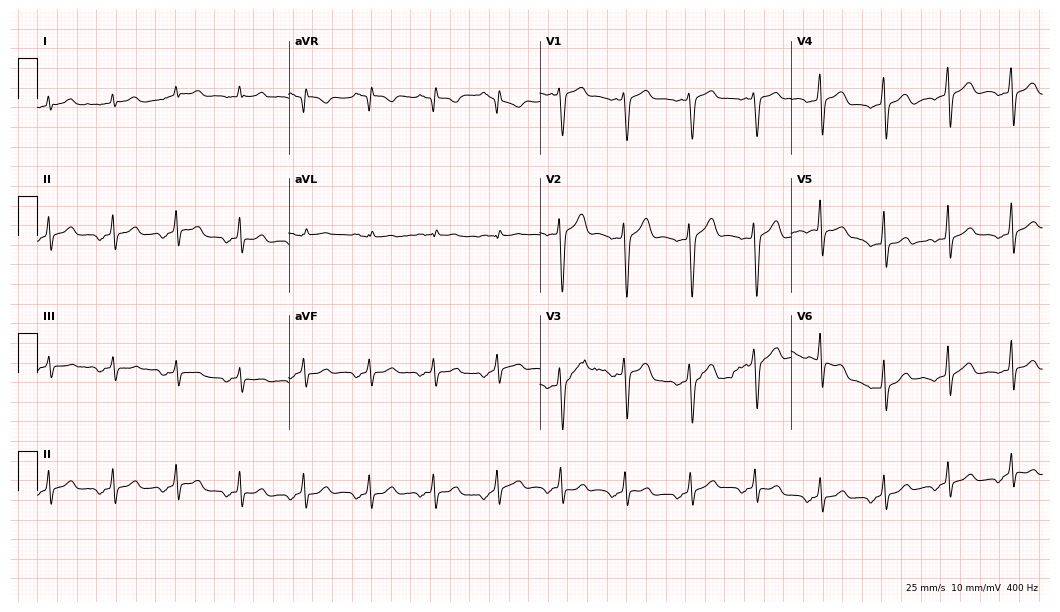
Resting 12-lead electrocardiogram (10.2-second recording at 400 Hz). Patient: a man, 38 years old. None of these six findings is recorded: first-degree AV block, right bundle branch block, left bundle branch block, sinus bradycardia, atrial fibrillation, sinus tachycardia.